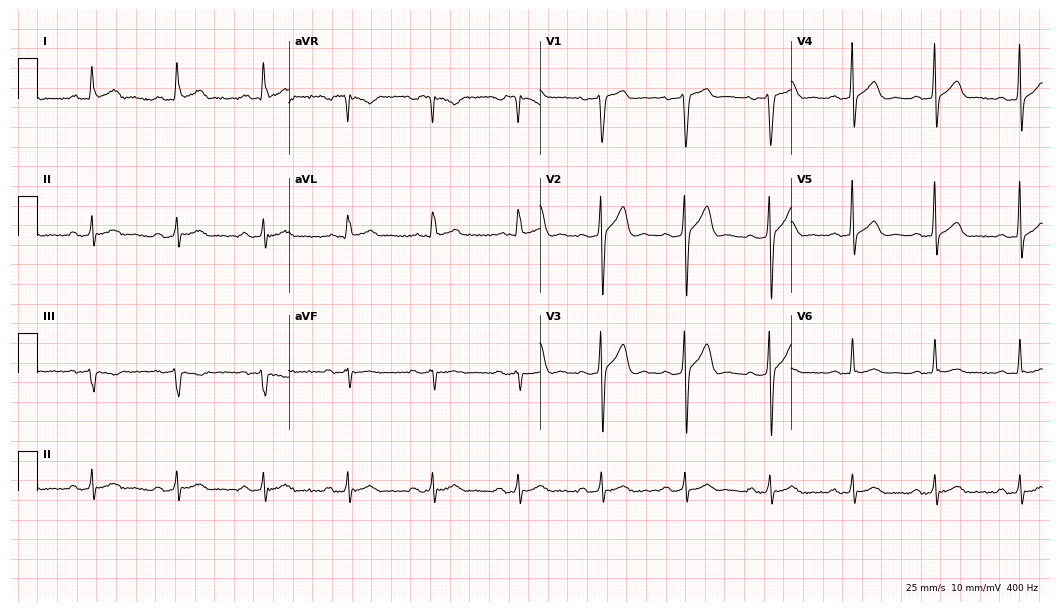
ECG — a 54-year-old male. Screened for six findings — first-degree AV block, right bundle branch block (RBBB), left bundle branch block (LBBB), sinus bradycardia, atrial fibrillation (AF), sinus tachycardia — none is recorded. Only these six findings were labelled.